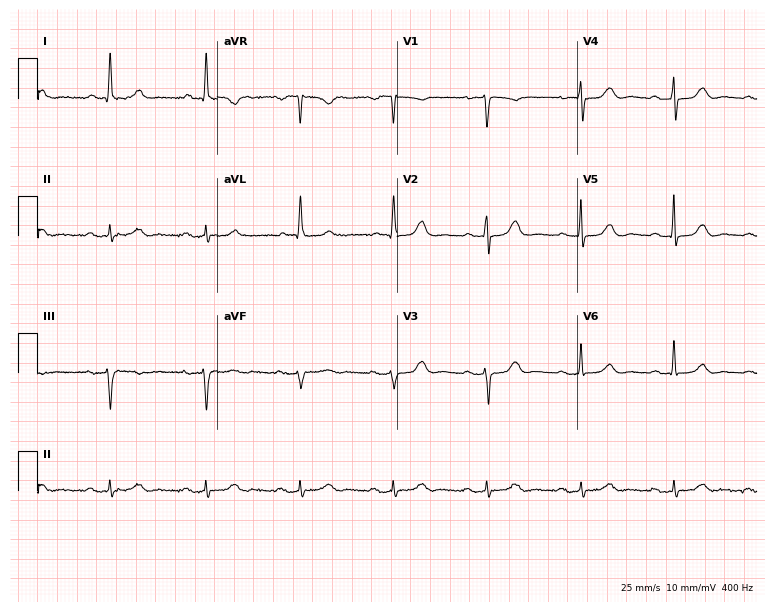
12-lead ECG from a female patient, 82 years old. Findings include first-degree AV block.